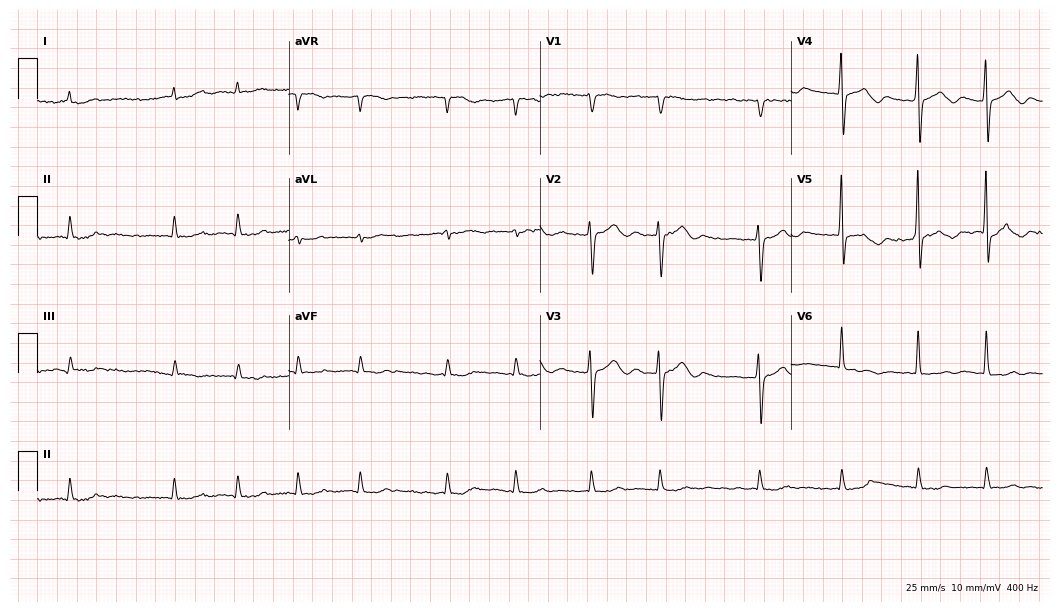
Electrocardiogram (10.2-second recording at 400 Hz), an 83-year-old male. Interpretation includes atrial fibrillation.